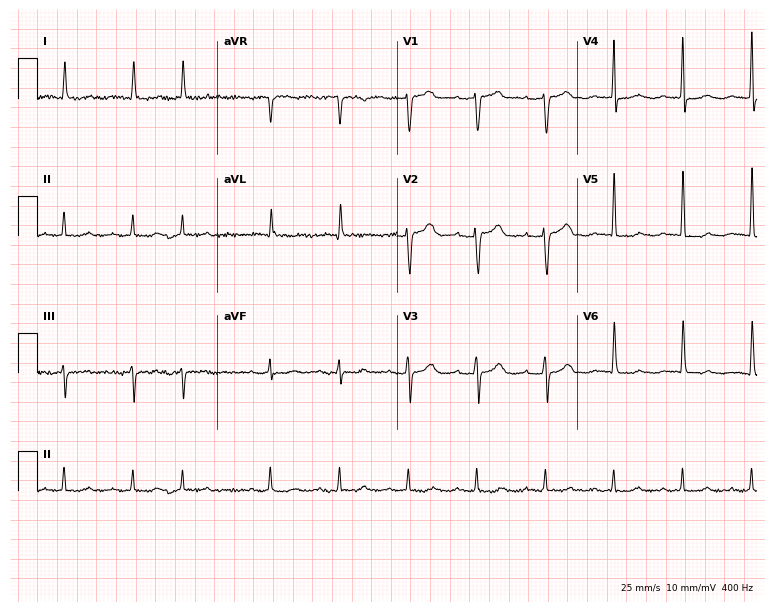
ECG (7.3-second recording at 400 Hz) — a female, 82 years old. Screened for six findings — first-degree AV block, right bundle branch block (RBBB), left bundle branch block (LBBB), sinus bradycardia, atrial fibrillation (AF), sinus tachycardia — none is recorded.